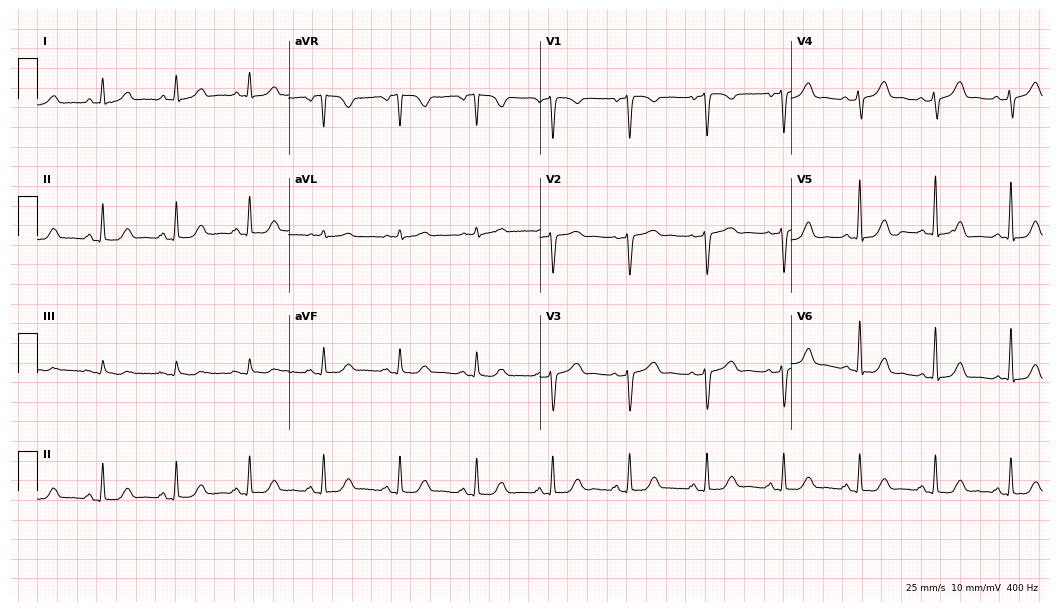
12-lead ECG from a female, 56 years old (10.2-second recording at 400 Hz). No first-degree AV block, right bundle branch block (RBBB), left bundle branch block (LBBB), sinus bradycardia, atrial fibrillation (AF) or sinus tachycardia recorded for this tracing. Findings outside these six are not listed.